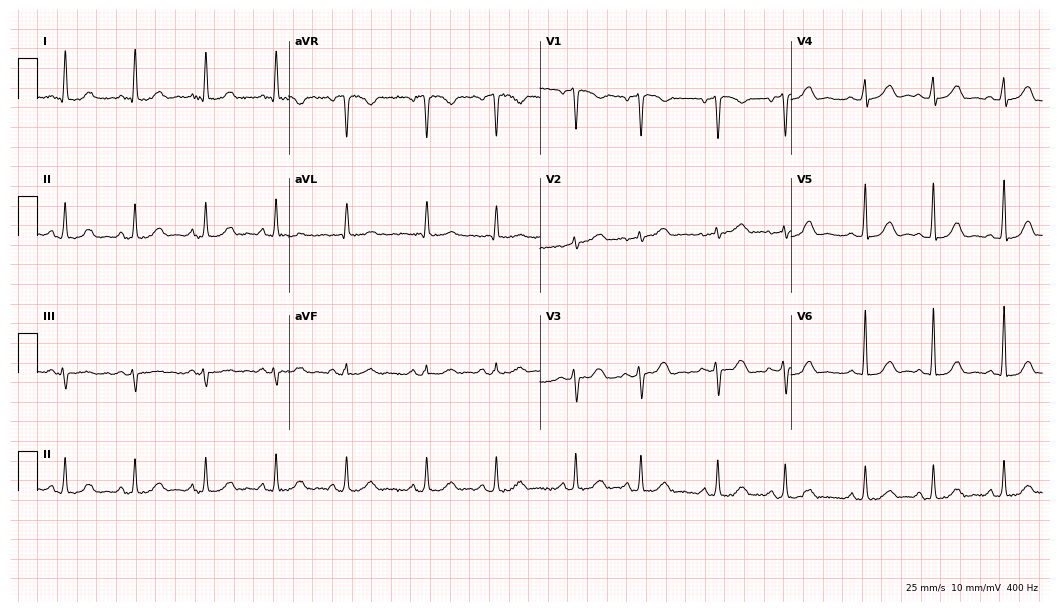
Electrocardiogram (10.2-second recording at 400 Hz), a 73-year-old female patient. Of the six screened findings (first-degree AV block, right bundle branch block, left bundle branch block, sinus bradycardia, atrial fibrillation, sinus tachycardia), none is recorded.